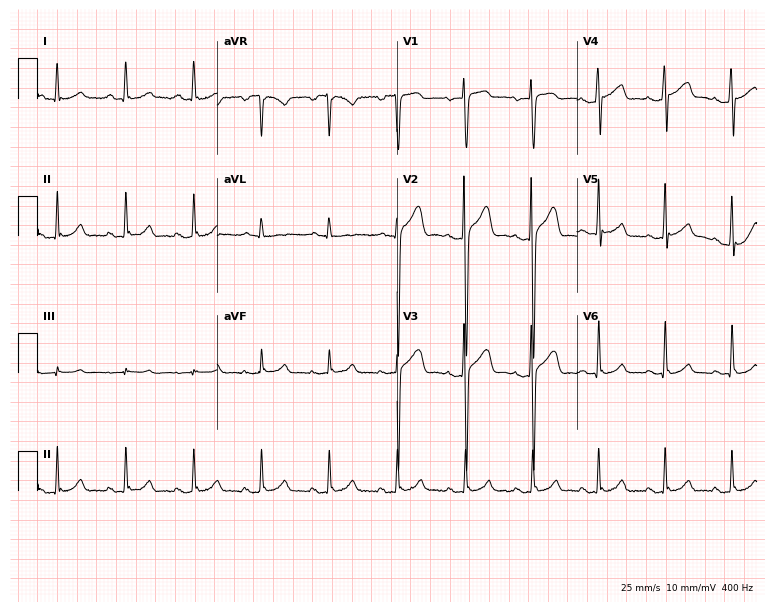
Electrocardiogram (7.3-second recording at 400 Hz), a male, 30 years old. Overall reading on record: normal ECG.